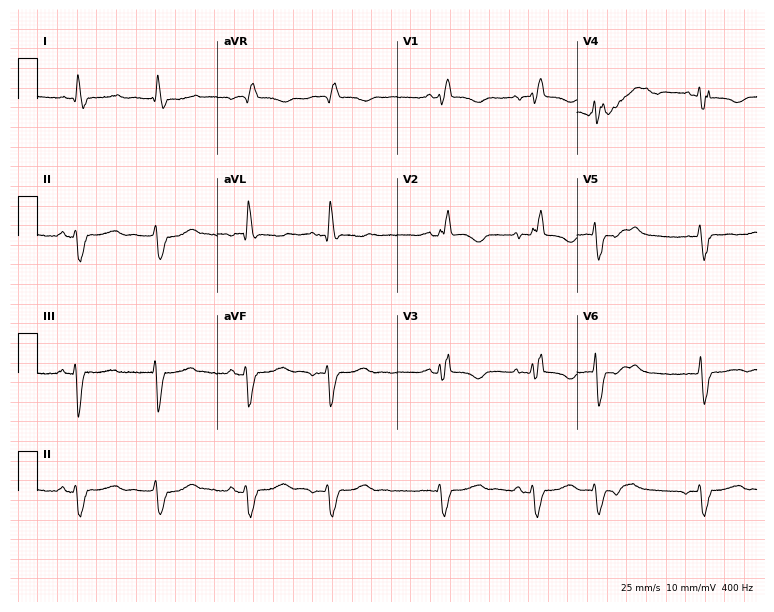
ECG — a 73-year-old female. Findings include right bundle branch block (RBBB).